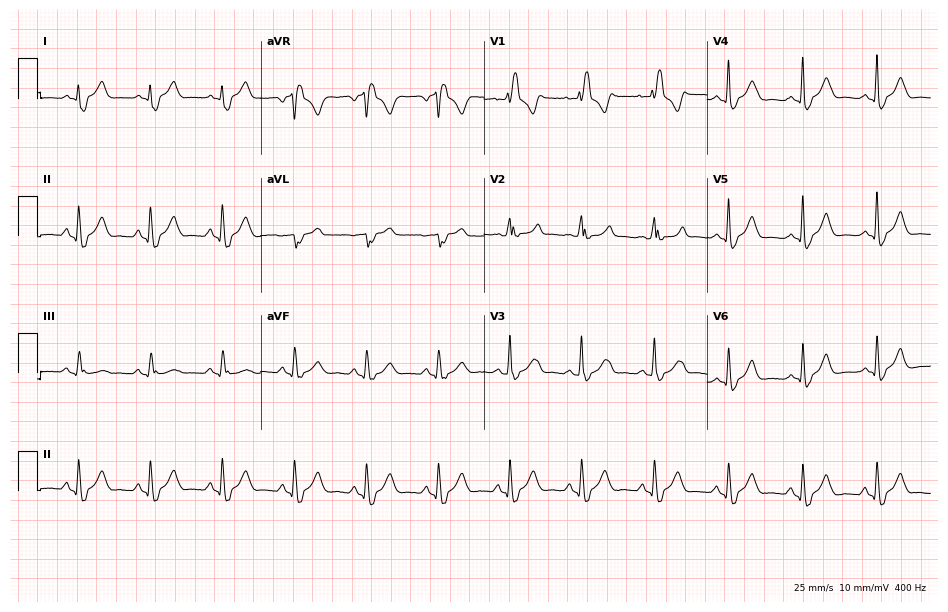
Electrocardiogram, a 56-year-old female. Interpretation includes right bundle branch block (RBBB).